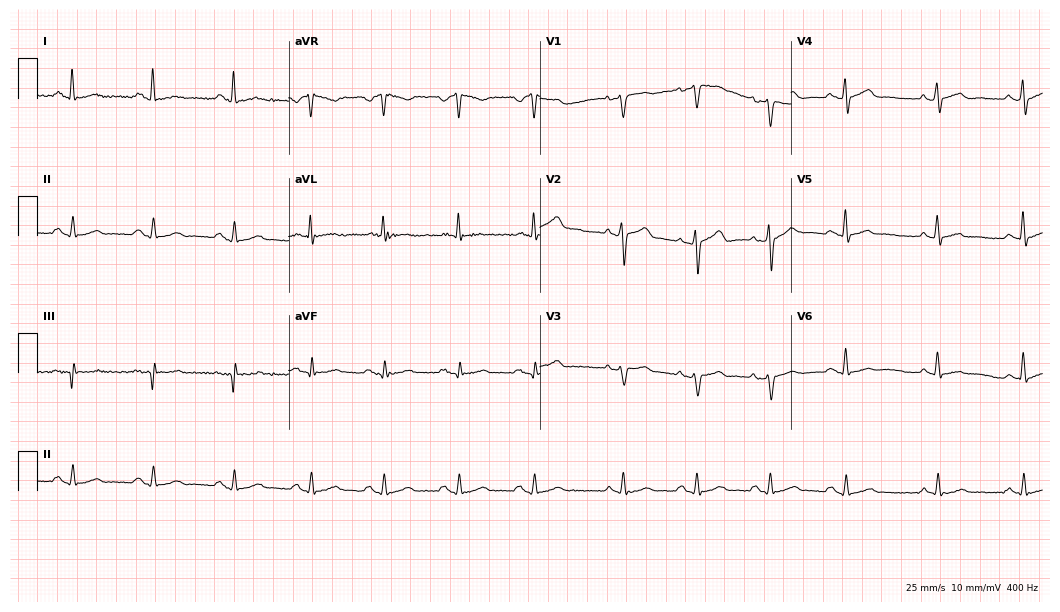
ECG (10.2-second recording at 400 Hz) — a male patient, 59 years old. Labelled as a normal ECG.